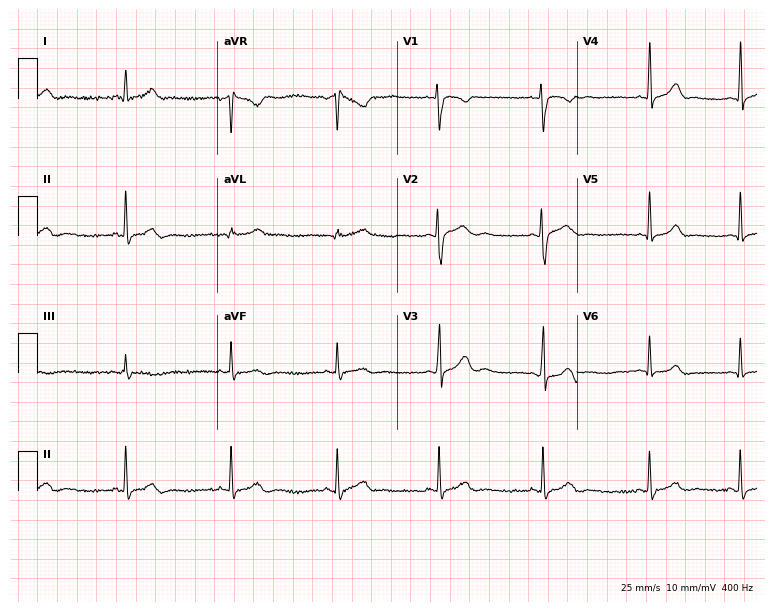
ECG — a 20-year-old woman. Labelled as a normal ECG.